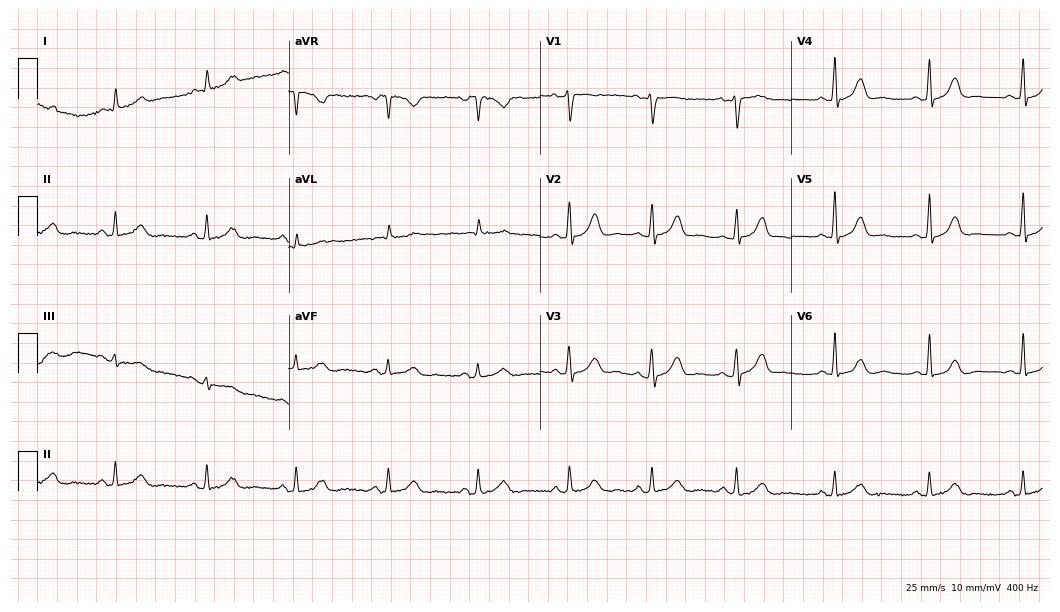
Electrocardiogram (10.2-second recording at 400 Hz), a 57-year-old female patient. Overall reading on record: normal ECG.